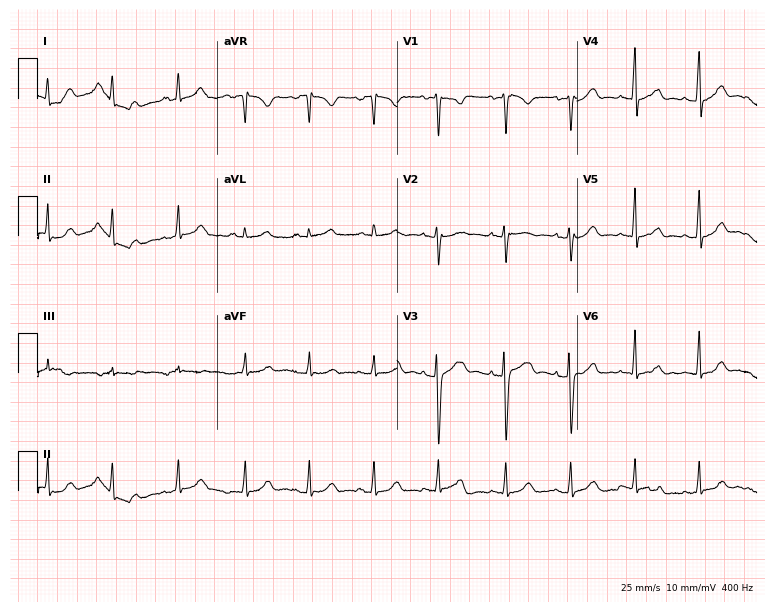
12-lead ECG from a woman, 21 years old (7.3-second recording at 400 Hz). Recorded interpretation: within normal limits.